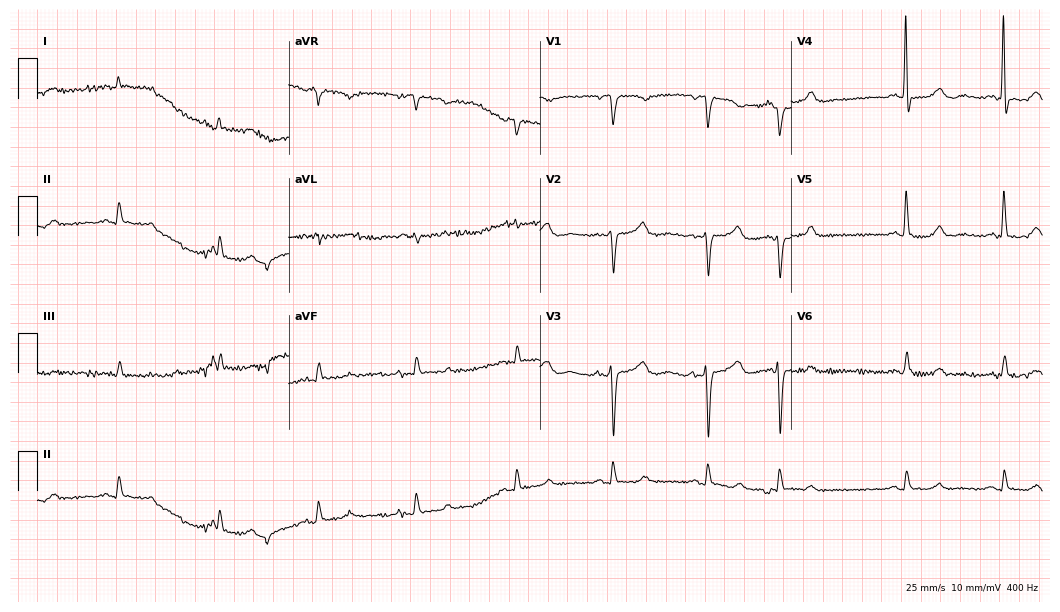
Standard 12-lead ECG recorded from a female, 82 years old (10.2-second recording at 400 Hz). None of these six findings is recorded: first-degree AV block, right bundle branch block, left bundle branch block, sinus bradycardia, atrial fibrillation, sinus tachycardia.